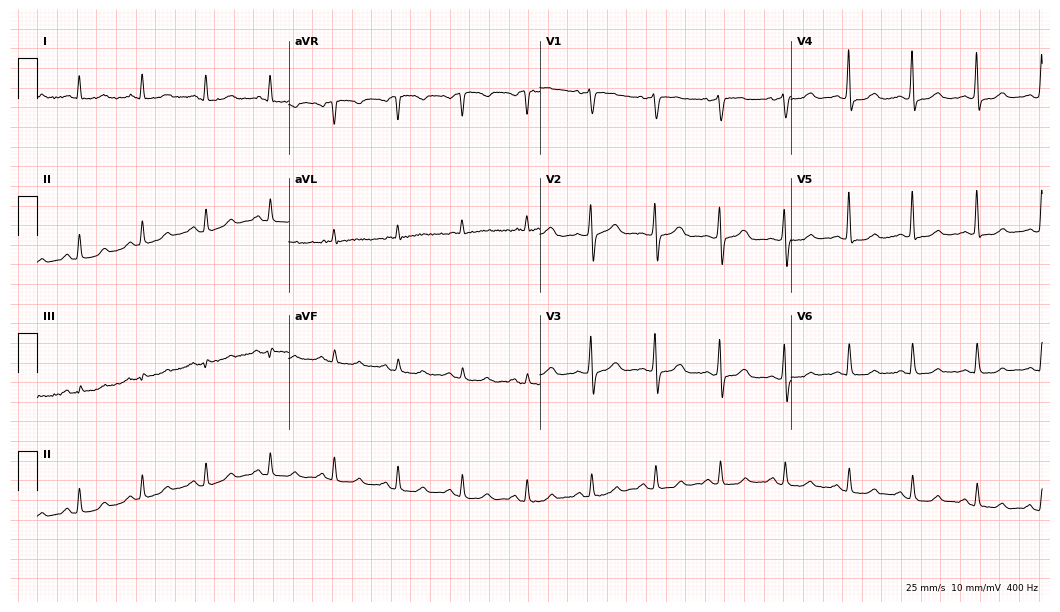
Resting 12-lead electrocardiogram. Patient: a 64-year-old female. Read as a normal ECG.